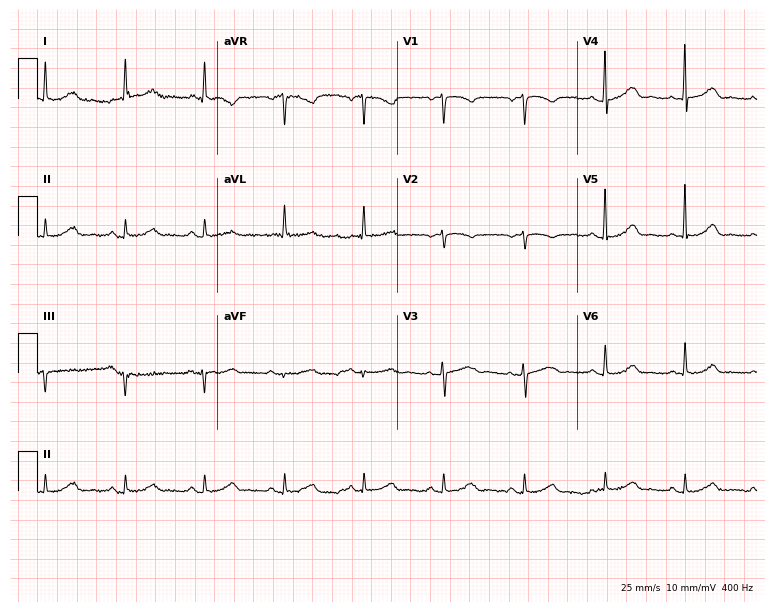
12-lead ECG (7.3-second recording at 400 Hz) from a female patient, 70 years old. Labelled as a normal ECG.